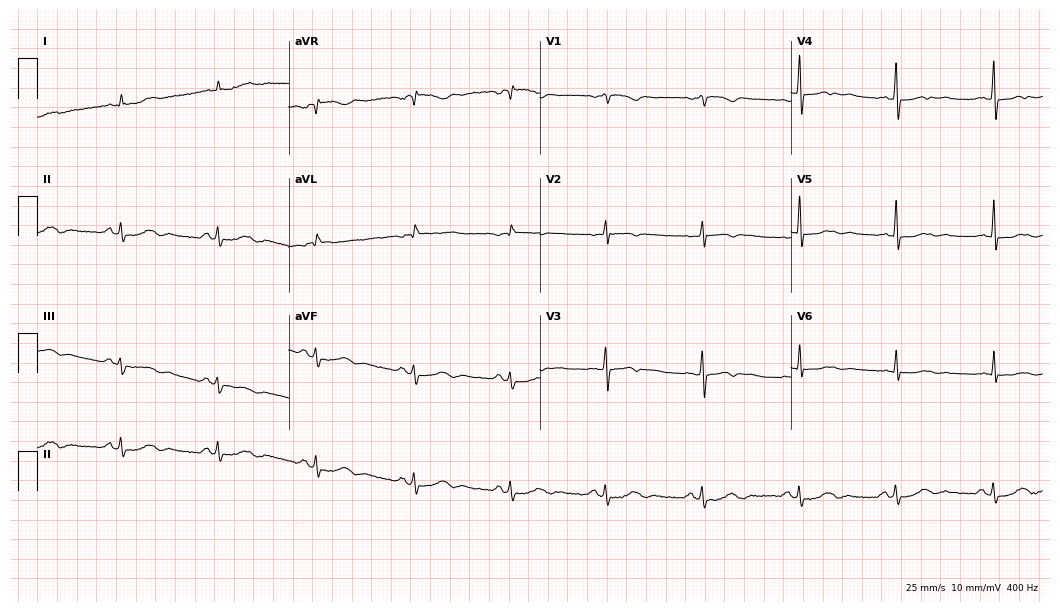
Resting 12-lead electrocardiogram. Patient: a 61-year-old female. None of these six findings is recorded: first-degree AV block, right bundle branch block, left bundle branch block, sinus bradycardia, atrial fibrillation, sinus tachycardia. Only these six findings were labelled.